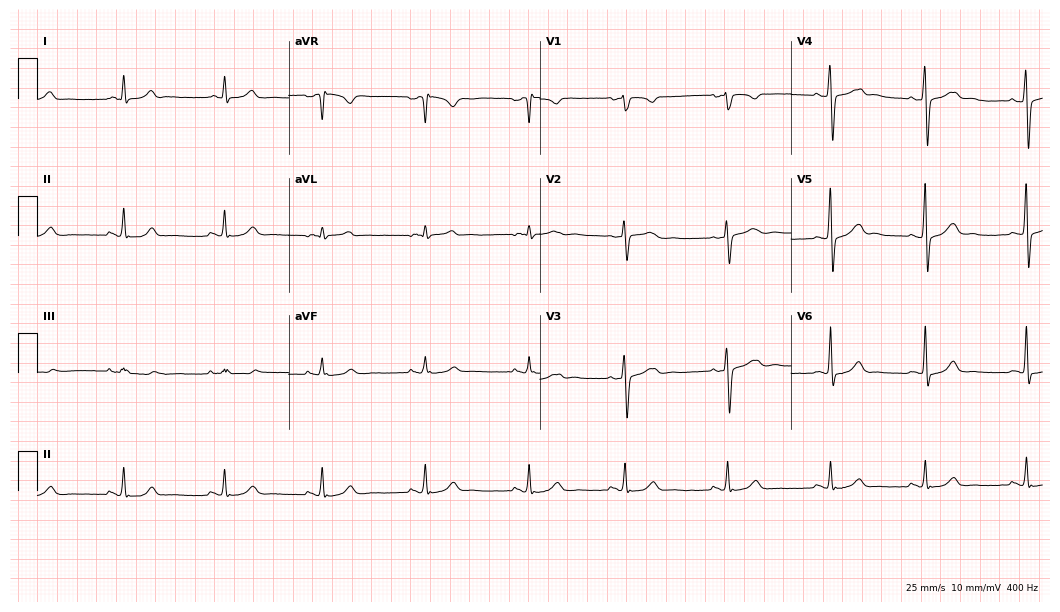
Standard 12-lead ECG recorded from a woman, 37 years old (10.2-second recording at 400 Hz). Read as a normal ECG.